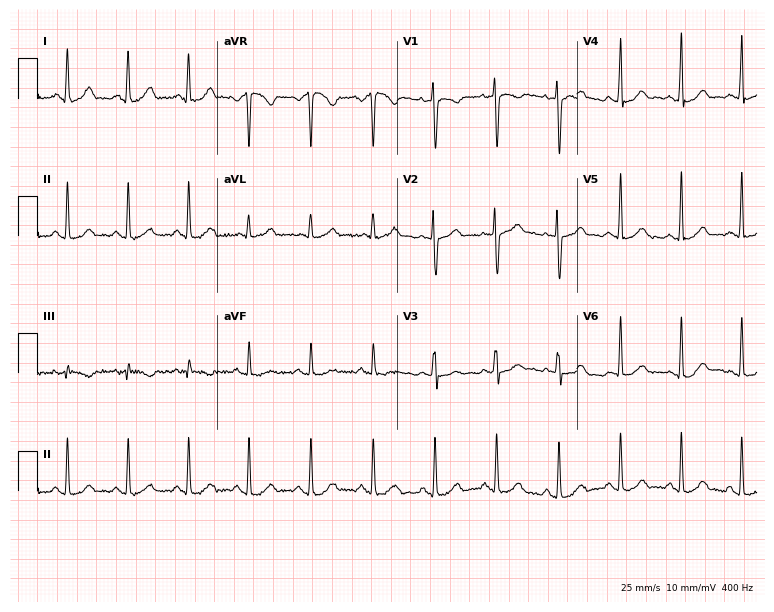
12-lead ECG (7.3-second recording at 400 Hz) from a 22-year-old woman. Screened for six findings — first-degree AV block, right bundle branch block, left bundle branch block, sinus bradycardia, atrial fibrillation, sinus tachycardia — none is recorded.